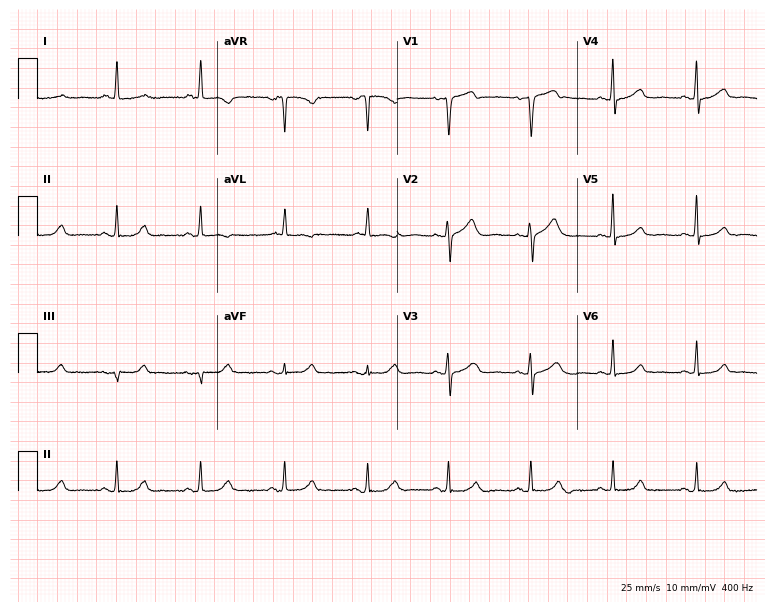
12-lead ECG (7.3-second recording at 400 Hz) from a 68-year-old woman. Labelled as a normal ECG.